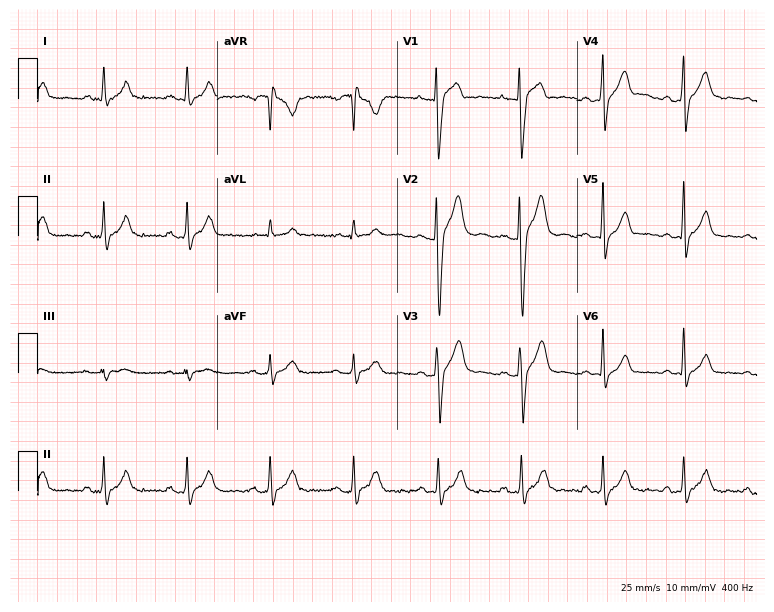
12-lead ECG from a male patient, 34 years old. Recorded interpretation: within normal limits.